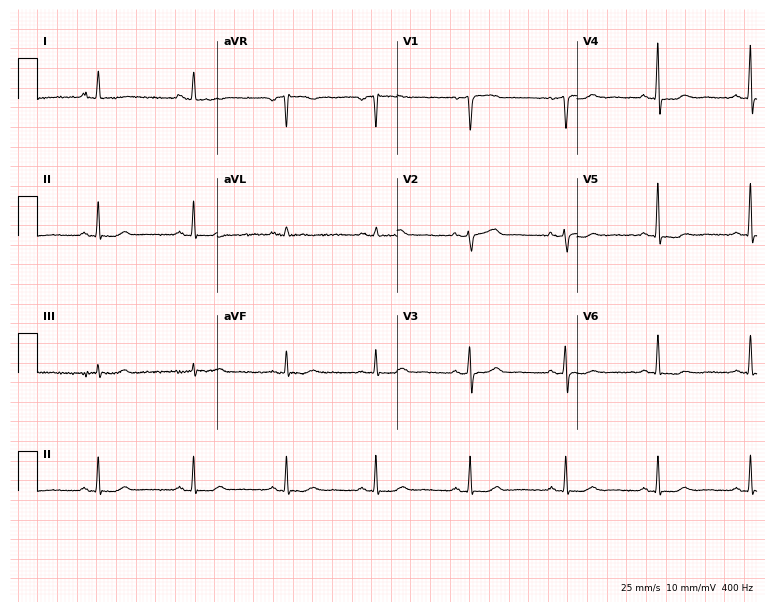
12-lead ECG from a female, 52 years old (7.3-second recording at 400 Hz). No first-degree AV block, right bundle branch block, left bundle branch block, sinus bradycardia, atrial fibrillation or sinus tachycardia recorded for this tracing.